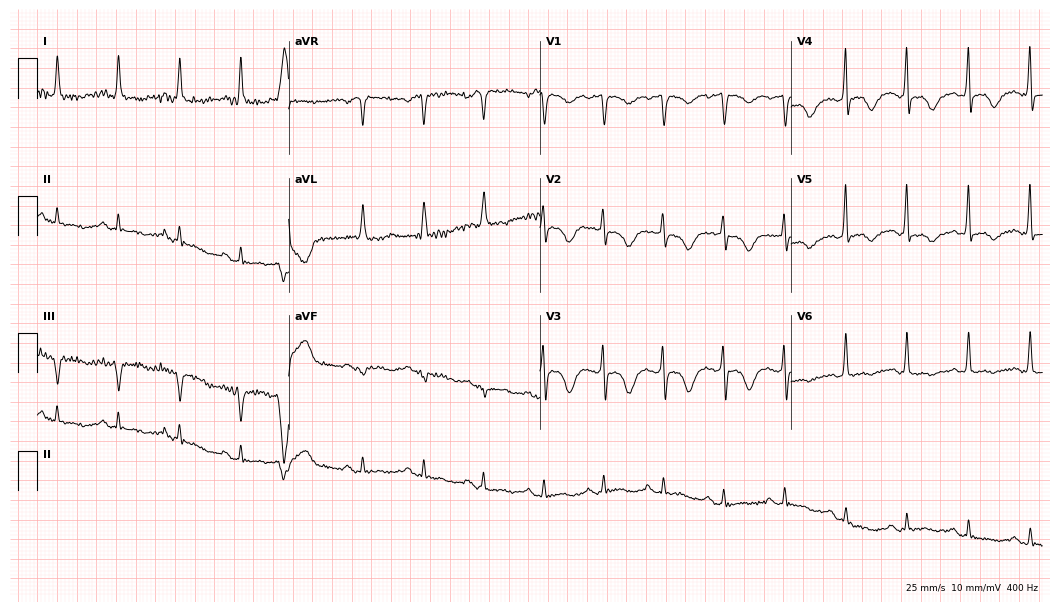
Resting 12-lead electrocardiogram. Patient: an 82-year-old female. None of these six findings is recorded: first-degree AV block, right bundle branch block, left bundle branch block, sinus bradycardia, atrial fibrillation, sinus tachycardia.